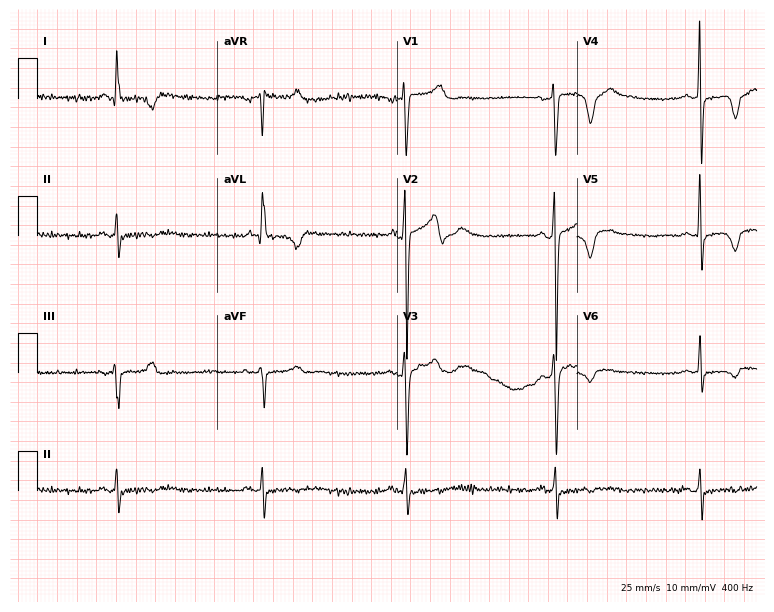
Resting 12-lead electrocardiogram. Patient: a 67-year-old woman. The tracing shows sinus bradycardia (a sinus rate of 50 beats per minute or less).